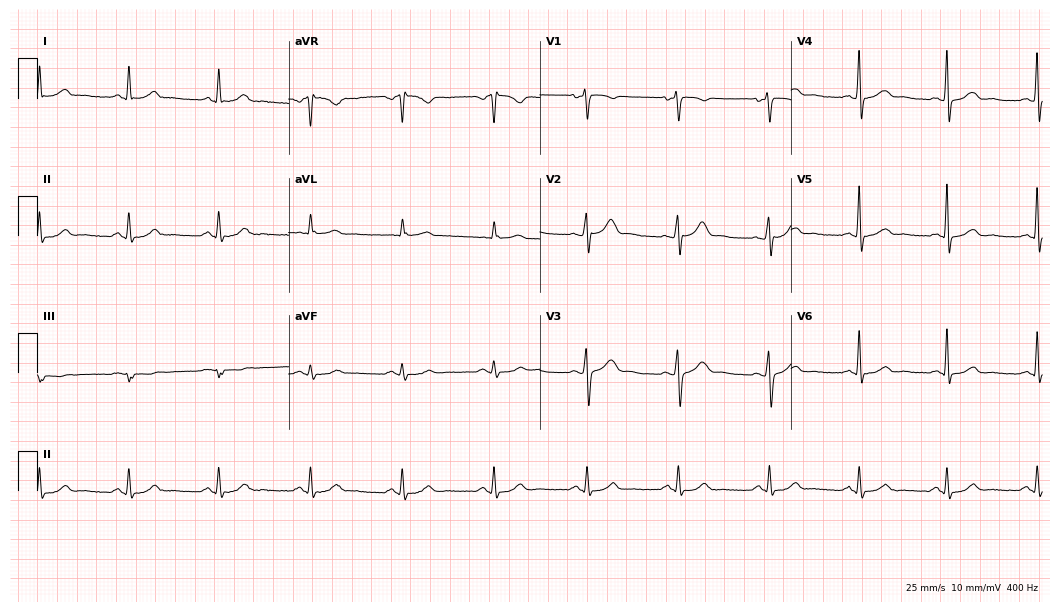
ECG (10.2-second recording at 400 Hz) — a male, 42 years old. Labelled as a normal ECG.